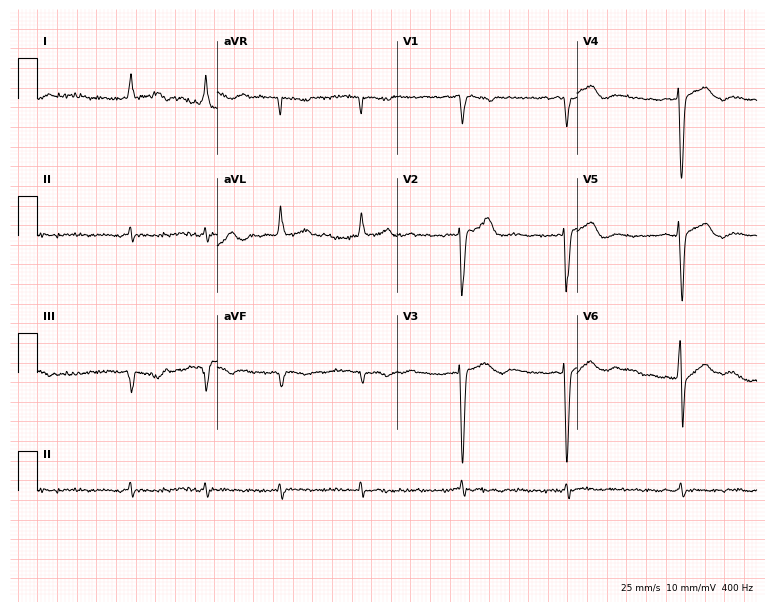
Electrocardiogram, a male, 84 years old. Interpretation includes atrial fibrillation (AF).